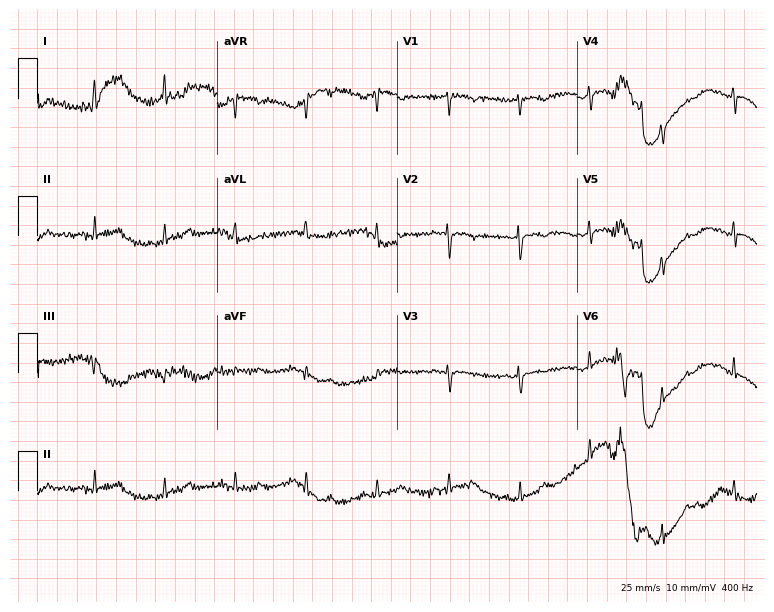
ECG (7.3-second recording at 400 Hz) — a 31-year-old female. Screened for six findings — first-degree AV block, right bundle branch block (RBBB), left bundle branch block (LBBB), sinus bradycardia, atrial fibrillation (AF), sinus tachycardia — none is recorded. Other findings, if any, are not listed.